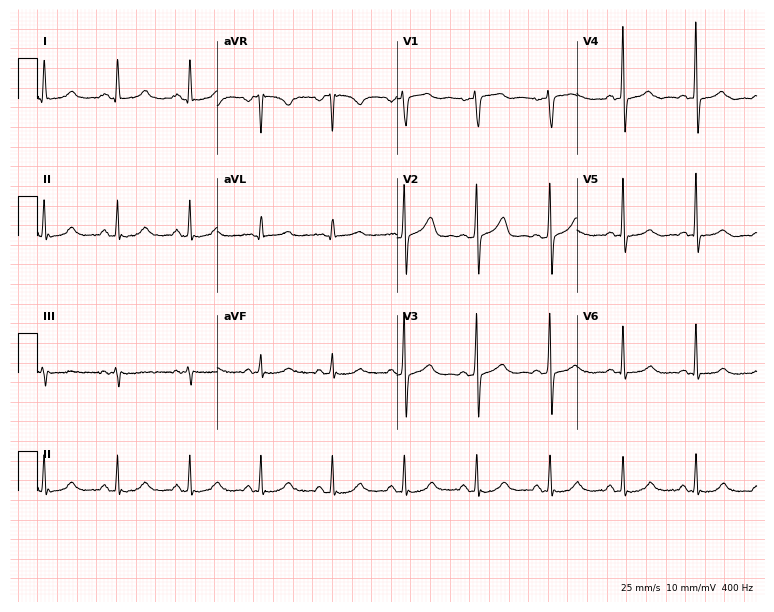
ECG — a female patient, 51 years old. Screened for six findings — first-degree AV block, right bundle branch block, left bundle branch block, sinus bradycardia, atrial fibrillation, sinus tachycardia — none is recorded.